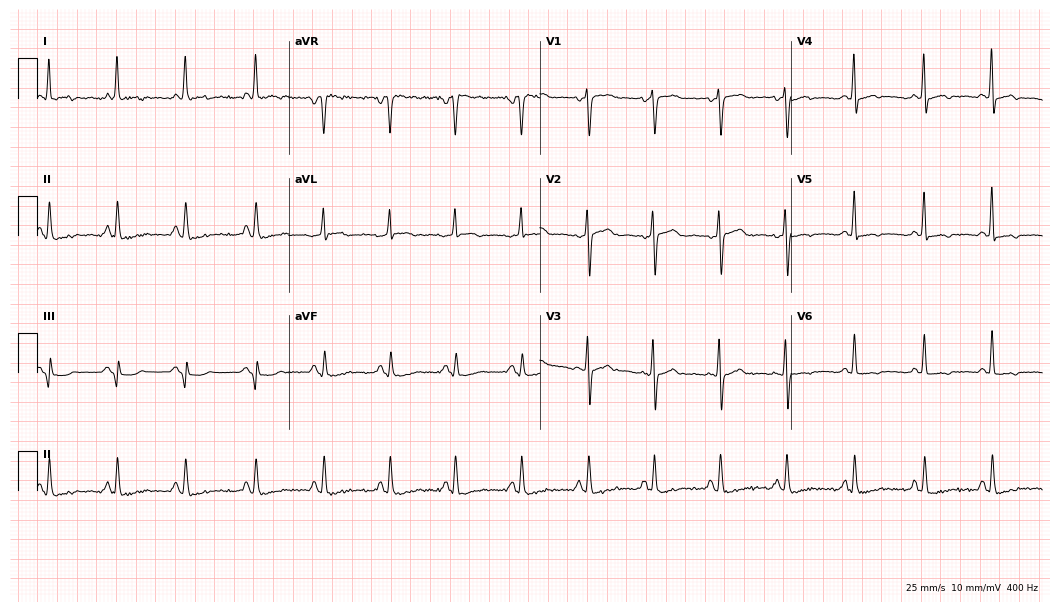
12-lead ECG from a female, 66 years old. Screened for six findings — first-degree AV block, right bundle branch block (RBBB), left bundle branch block (LBBB), sinus bradycardia, atrial fibrillation (AF), sinus tachycardia — none is recorded.